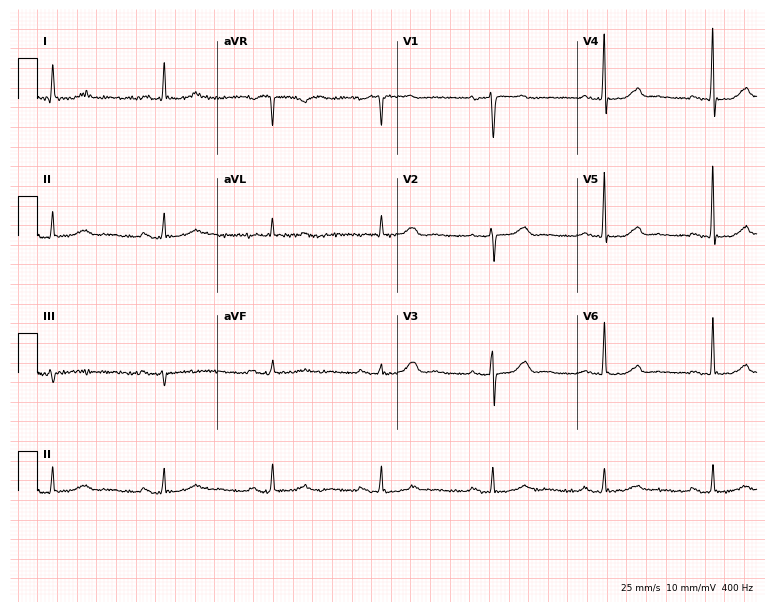
ECG (7.3-second recording at 400 Hz) — a female patient, 81 years old. Labelled as a normal ECG.